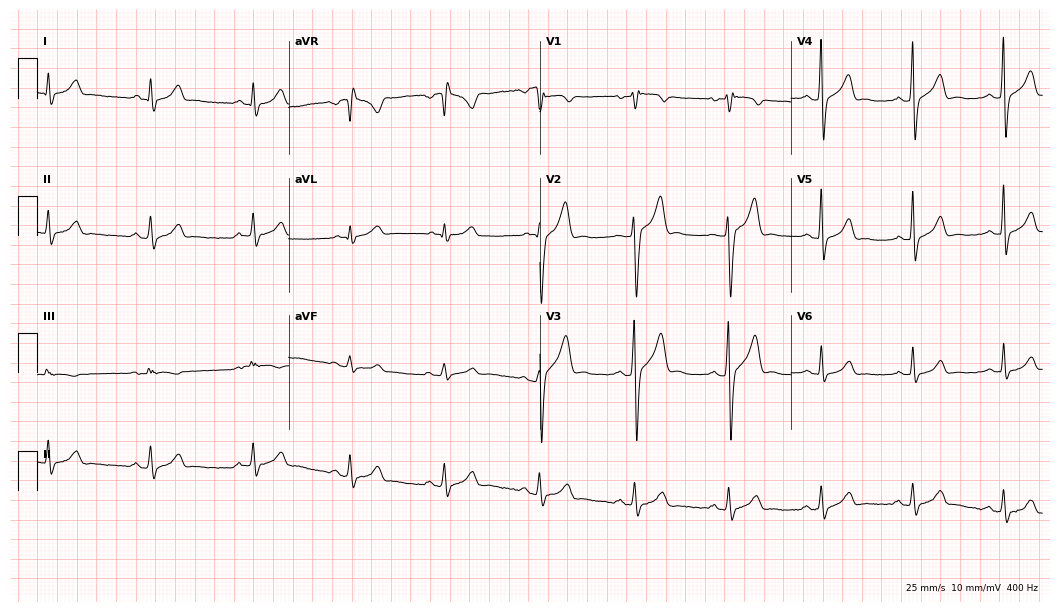
12-lead ECG from a 32-year-old man. Recorded interpretation: within normal limits.